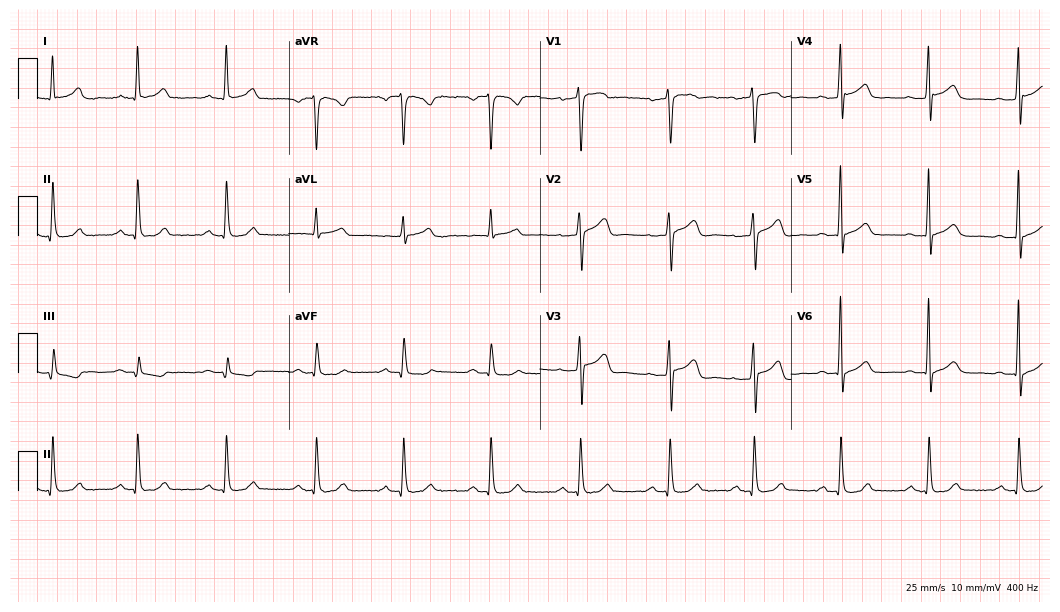
Standard 12-lead ECG recorded from a man, 32 years old (10.2-second recording at 400 Hz). None of these six findings is recorded: first-degree AV block, right bundle branch block, left bundle branch block, sinus bradycardia, atrial fibrillation, sinus tachycardia.